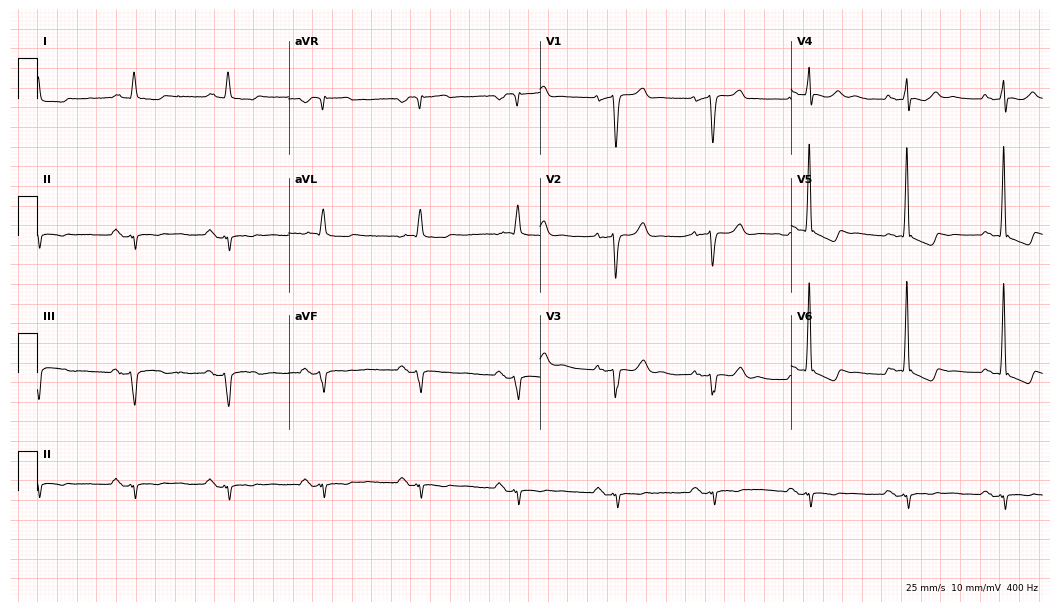
12-lead ECG from a 71-year-old male patient. Screened for six findings — first-degree AV block, right bundle branch block, left bundle branch block, sinus bradycardia, atrial fibrillation, sinus tachycardia — none is recorded.